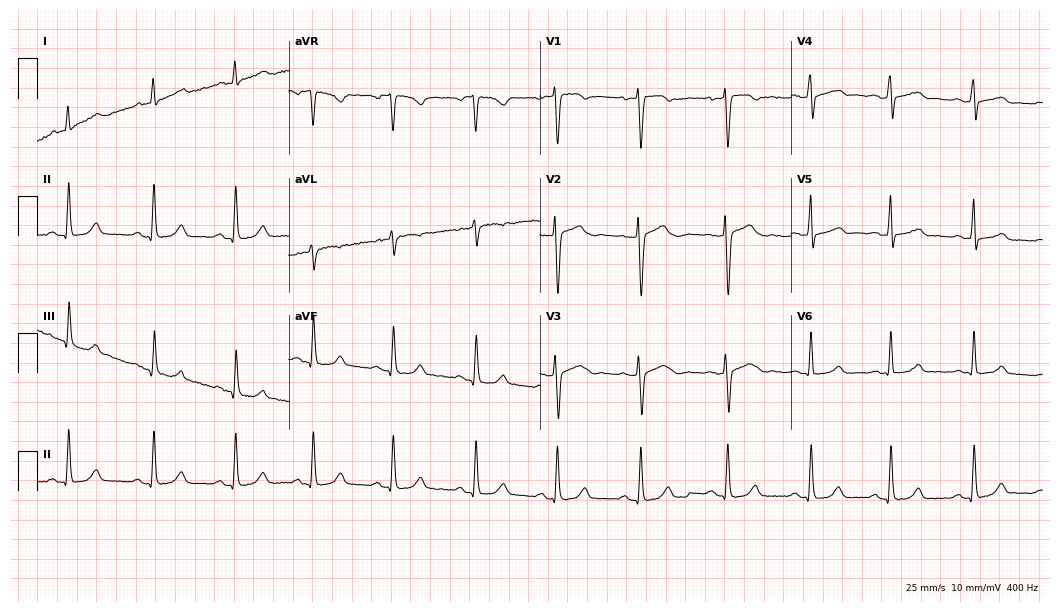
Standard 12-lead ECG recorded from a 35-year-old female (10.2-second recording at 400 Hz). Read as a normal ECG.